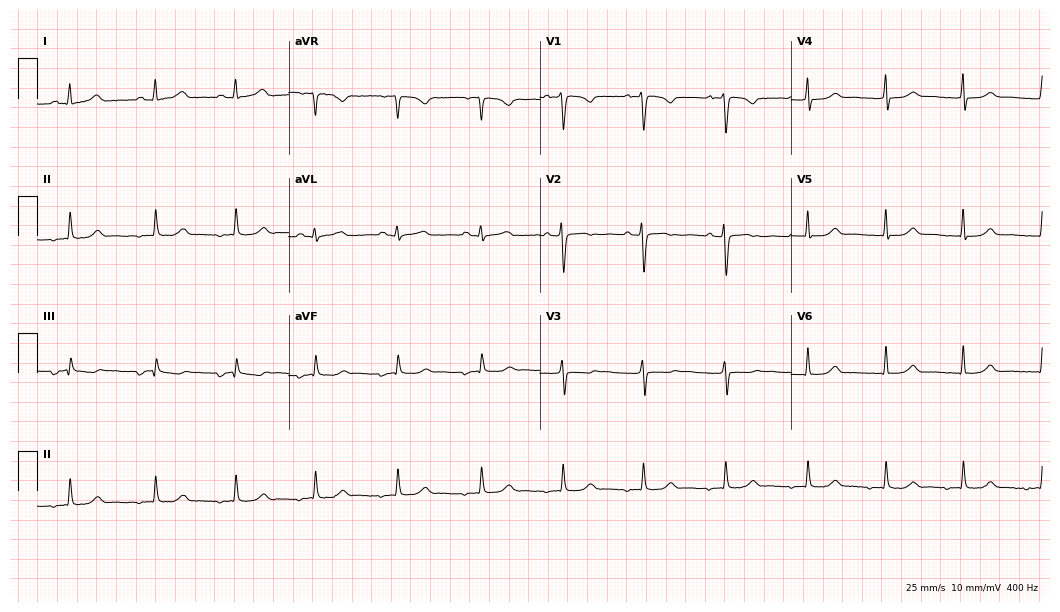
ECG (10.2-second recording at 400 Hz) — a 19-year-old woman. Screened for six findings — first-degree AV block, right bundle branch block, left bundle branch block, sinus bradycardia, atrial fibrillation, sinus tachycardia — none is recorded.